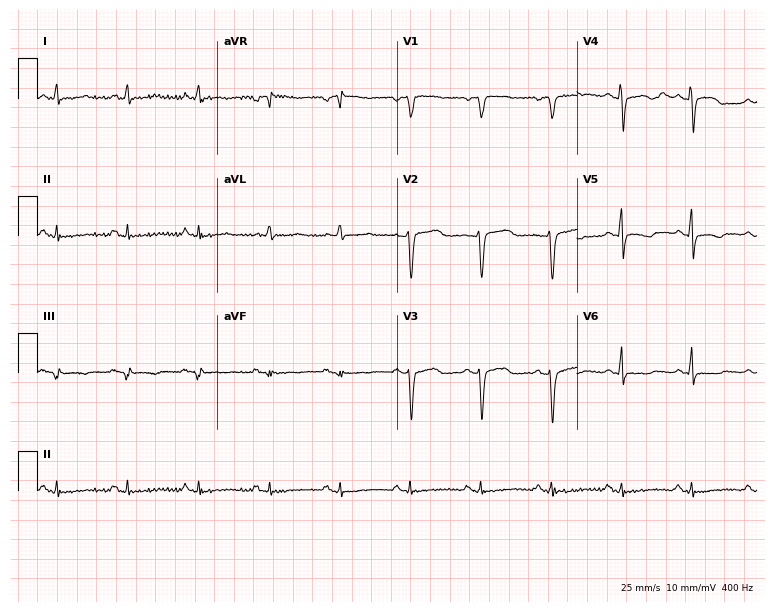
Electrocardiogram (7.3-second recording at 400 Hz), a 26-year-old female patient. Of the six screened findings (first-degree AV block, right bundle branch block, left bundle branch block, sinus bradycardia, atrial fibrillation, sinus tachycardia), none is recorded. Other findings, if any, are not listed.